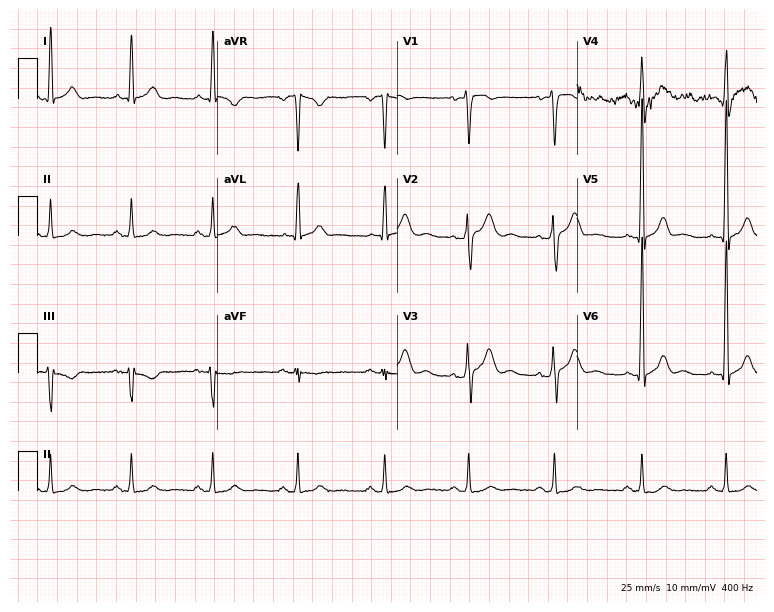
Standard 12-lead ECG recorded from a male patient, 45 years old. None of these six findings is recorded: first-degree AV block, right bundle branch block (RBBB), left bundle branch block (LBBB), sinus bradycardia, atrial fibrillation (AF), sinus tachycardia. Only these six findings were labelled.